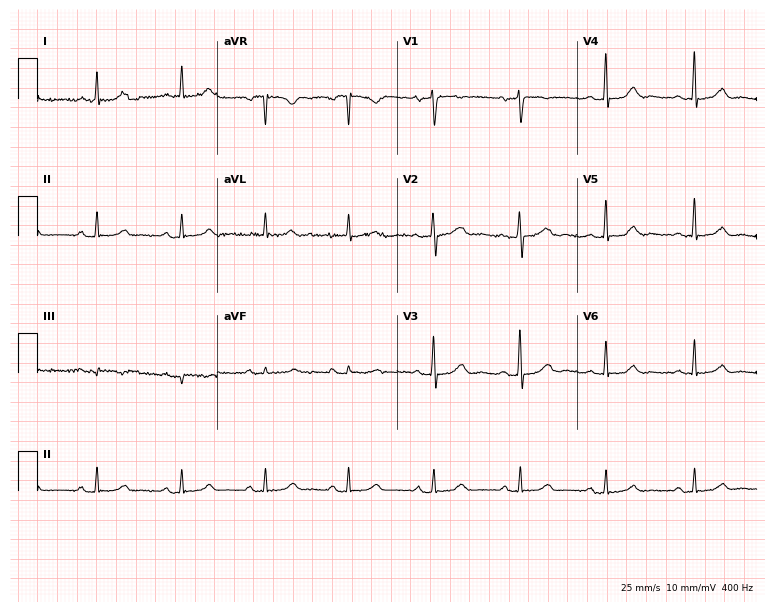
12-lead ECG from an 83-year-old male patient. Labelled as a normal ECG.